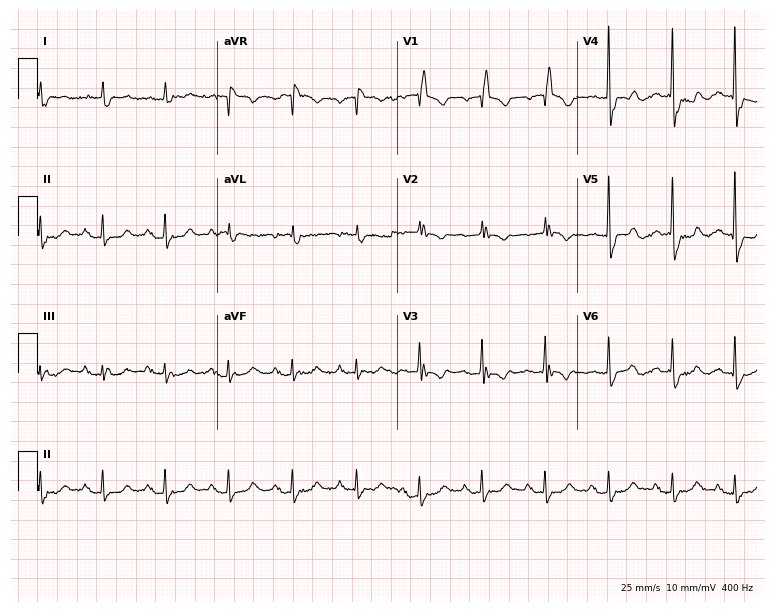
Electrocardiogram, a man, 78 years old. Of the six screened findings (first-degree AV block, right bundle branch block, left bundle branch block, sinus bradycardia, atrial fibrillation, sinus tachycardia), none is recorded. Findings outside these six are not listed.